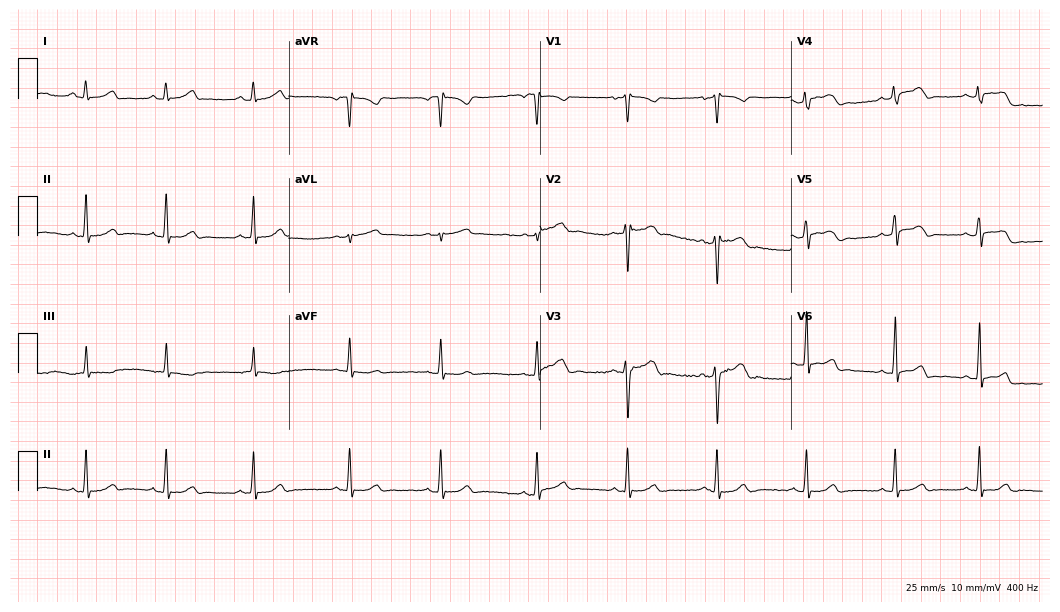
ECG — a male patient, 20 years old. Labelled as a normal ECG.